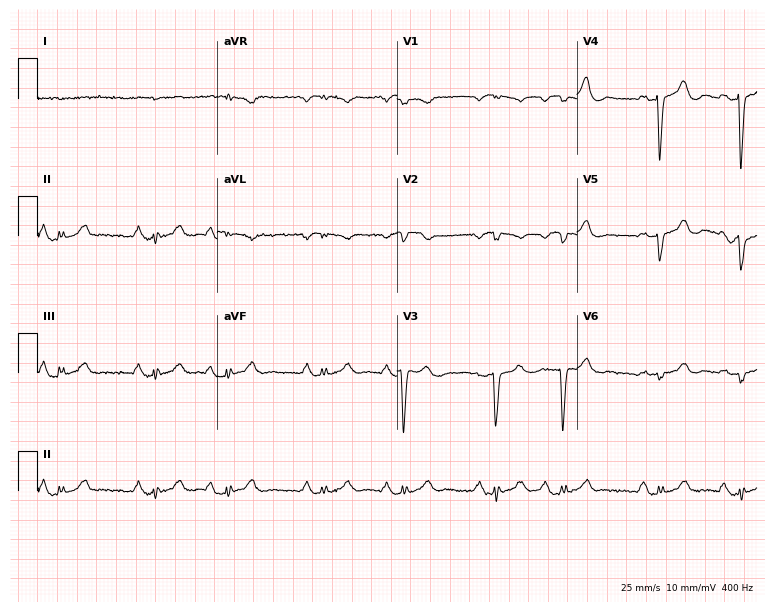
ECG — a 77-year-old male patient. Screened for six findings — first-degree AV block, right bundle branch block, left bundle branch block, sinus bradycardia, atrial fibrillation, sinus tachycardia — none is recorded.